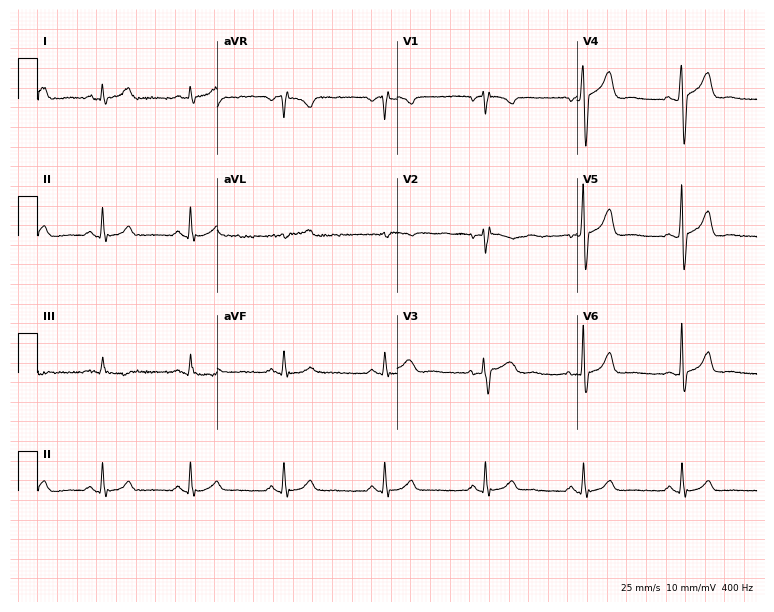
Resting 12-lead electrocardiogram (7.3-second recording at 400 Hz). Patient: a 50-year-old male. None of these six findings is recorded: first-degree AV block, right bundle branch block, left bundle branch block, sinus bradycardia, atrial fibrillation, sinus tachycardia.